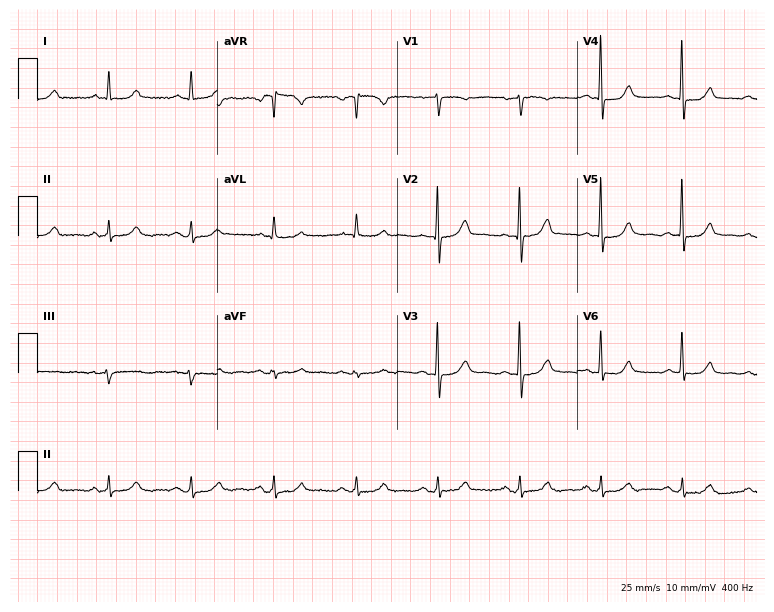
Electrocardiogram, a 70-year-old female. Of the six screened findings (first-degree AV block, right bundle branch block (RBBB), left bundle branch block (LBBB), sinus bradycardia, atrial fibrillation (AF), sinus tachycardia), none is recorded.